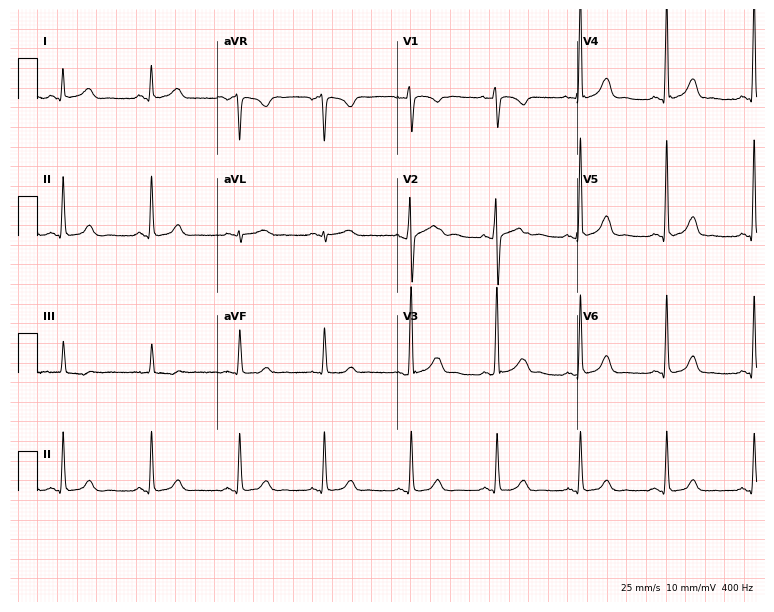
12-lead ECG from a 43-year-old woman (7.3-second recording at 400 Hz). Recorded interpretation: within normal limits.